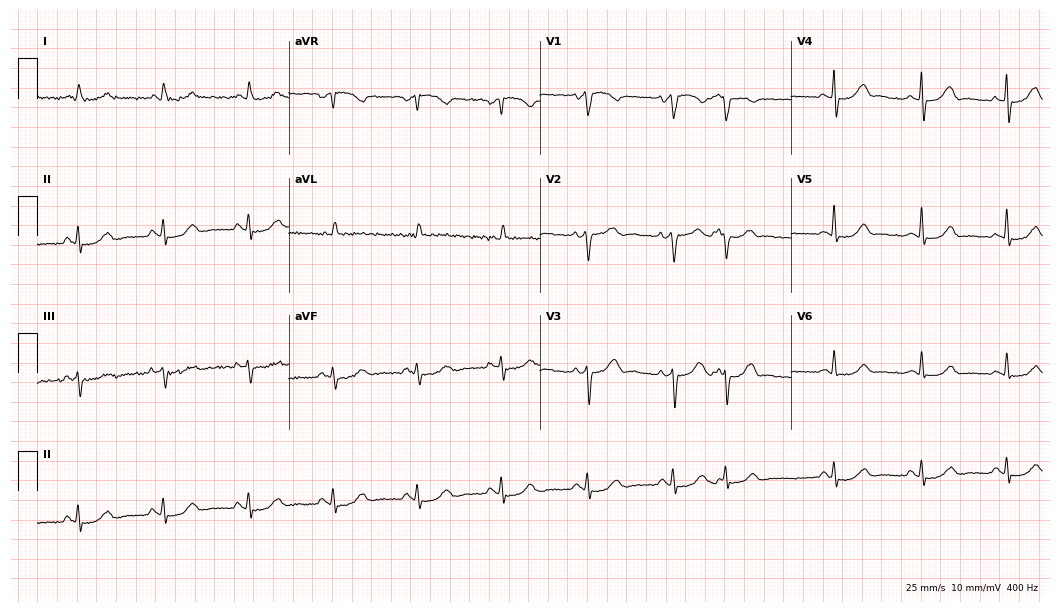
Standard 12-lead ECG recorded from a male, 75 years old (10.2-second recording at 400 Hz). Read as a normal ECG.